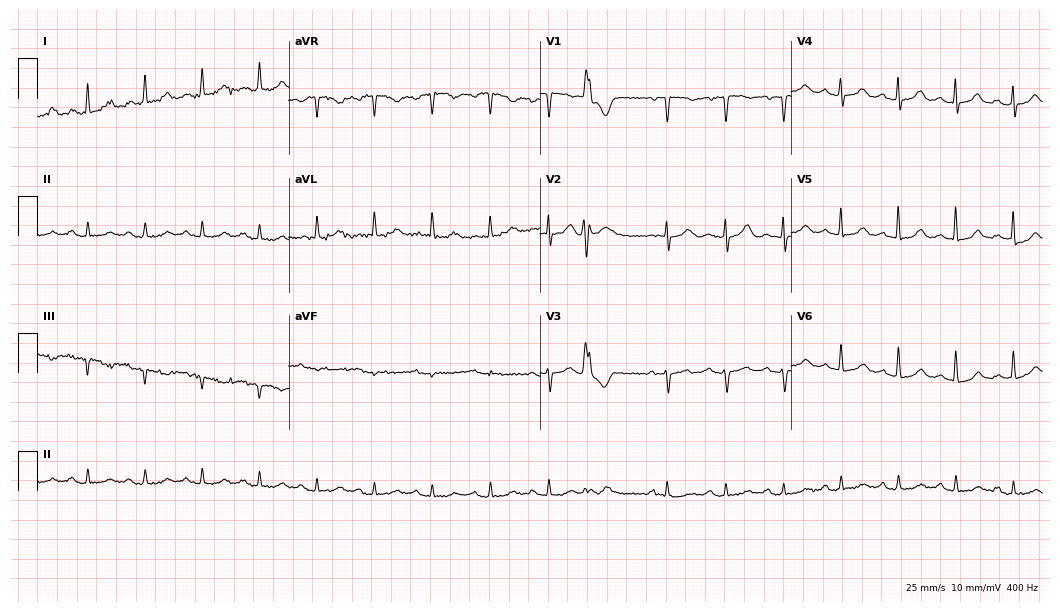
Electrocardiogram, a female aged 90 or older. Interpretation includes sinus tachycardia (a sinus rate of 100 beats per minute or more).